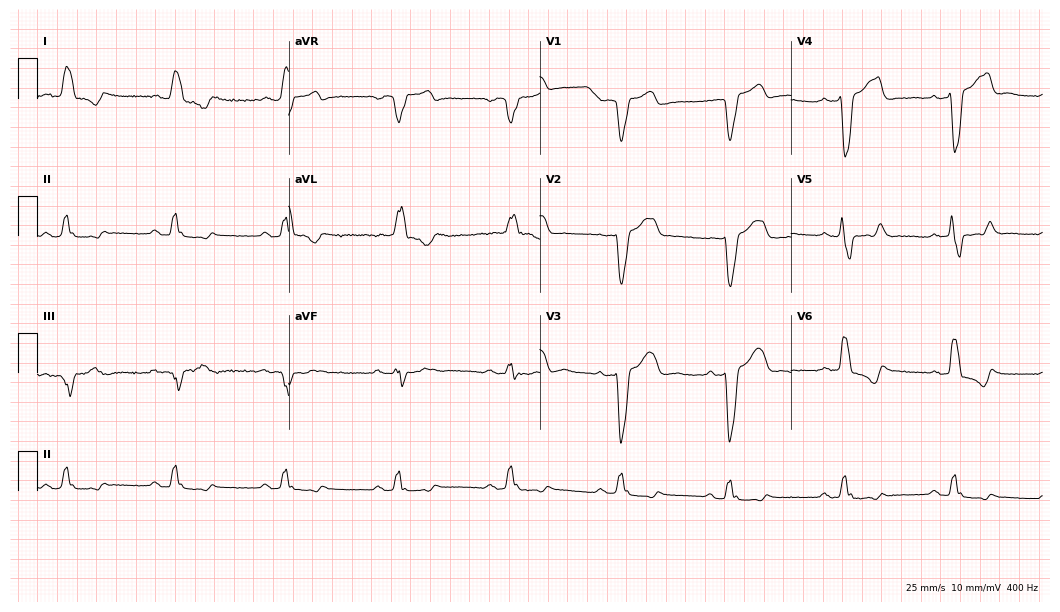
ECG (10.2-second recording at 400 Hz) — a male patient, 79 years old. Findings include left bundle branch block.